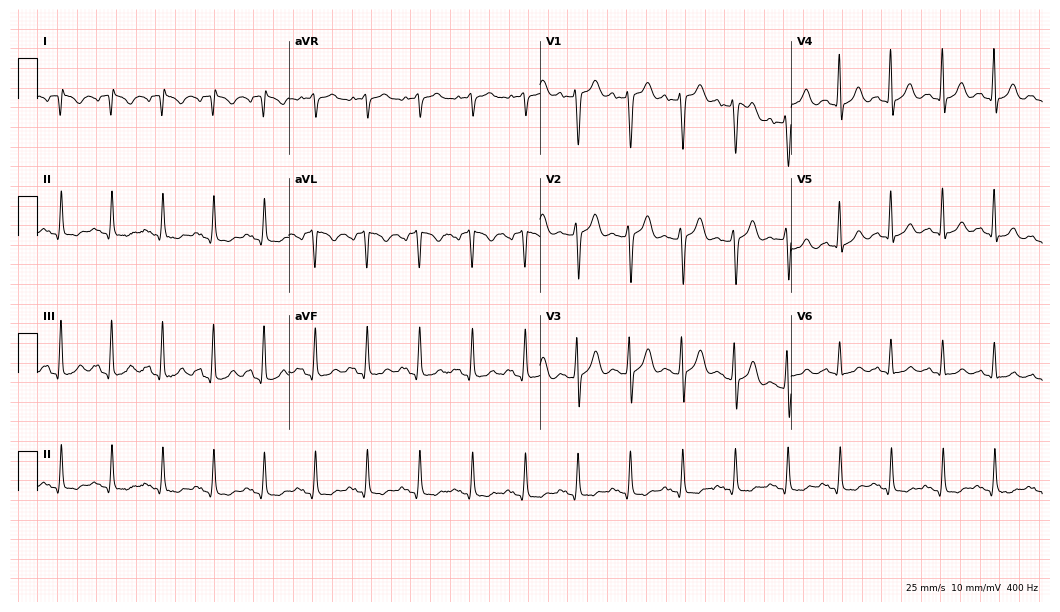
12-lead ECG from a male patient, 58 years old. Screened for six findings — first-degree AV block, right bundle branch block, left bundle branch block, sinus bradycardia, atrial fibrillation, sinus tachycardia — none is recorded. Other findings, if any, are not listed.